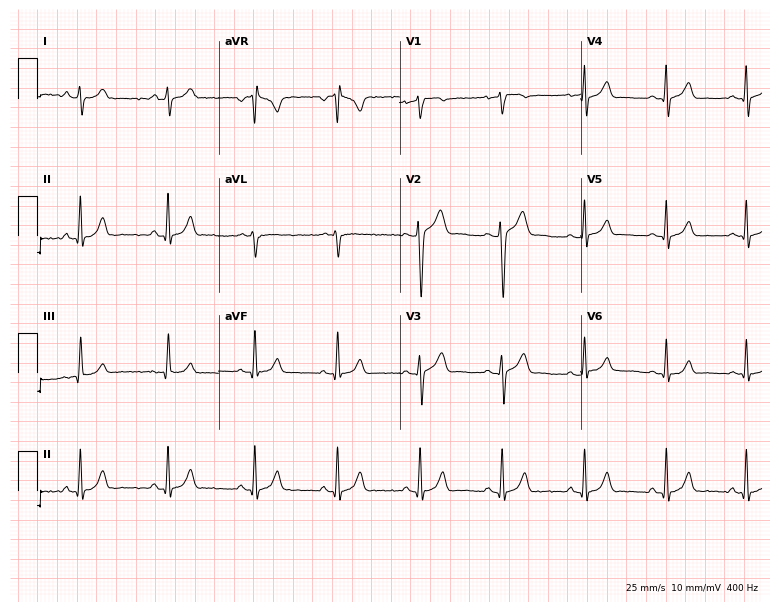
ECG (7.4-second recording at 400 Hz) — a male patient, 26 years old. Labelled as a normal ECG.